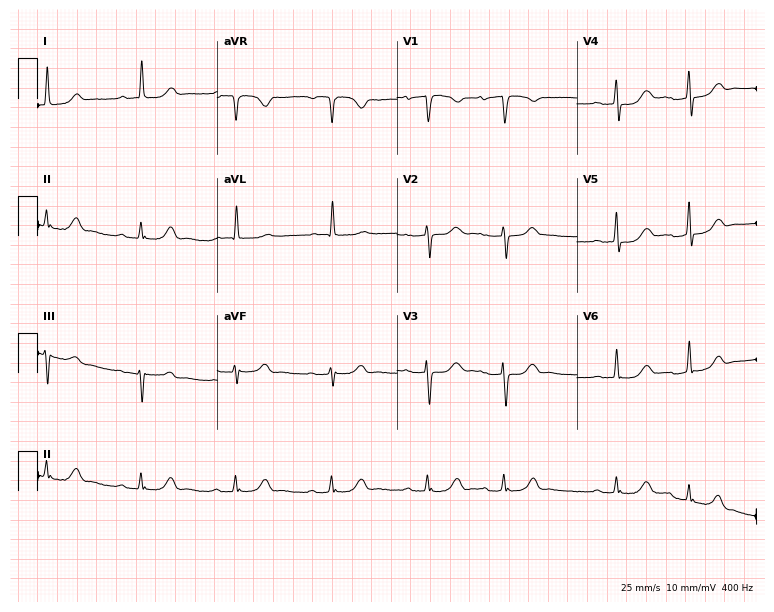
ECG — a male, 56 years old. Screened for six findings — first-degree AV block, right bundle branch block (RBBB), left bundle branch block (LBBB), sinus bradycardia, atrial fibrillation (AF), sinus tachycardia — none is recorded. Other findings, if any, are not listed.